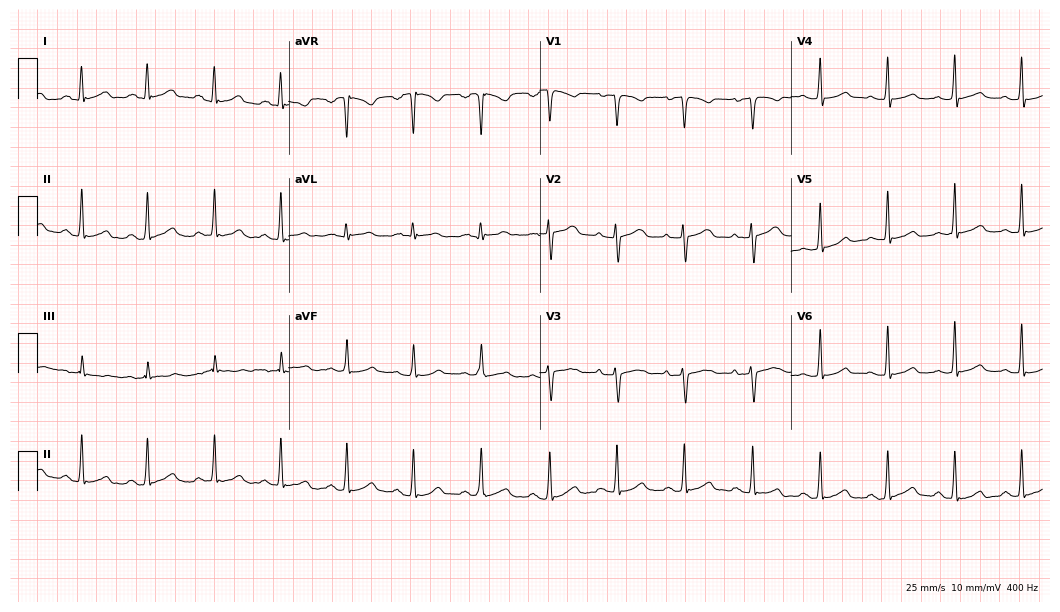
ECG (10.2-second recording at 400 Hz) — a female, 43 years old. Labelled as a normal ECG.